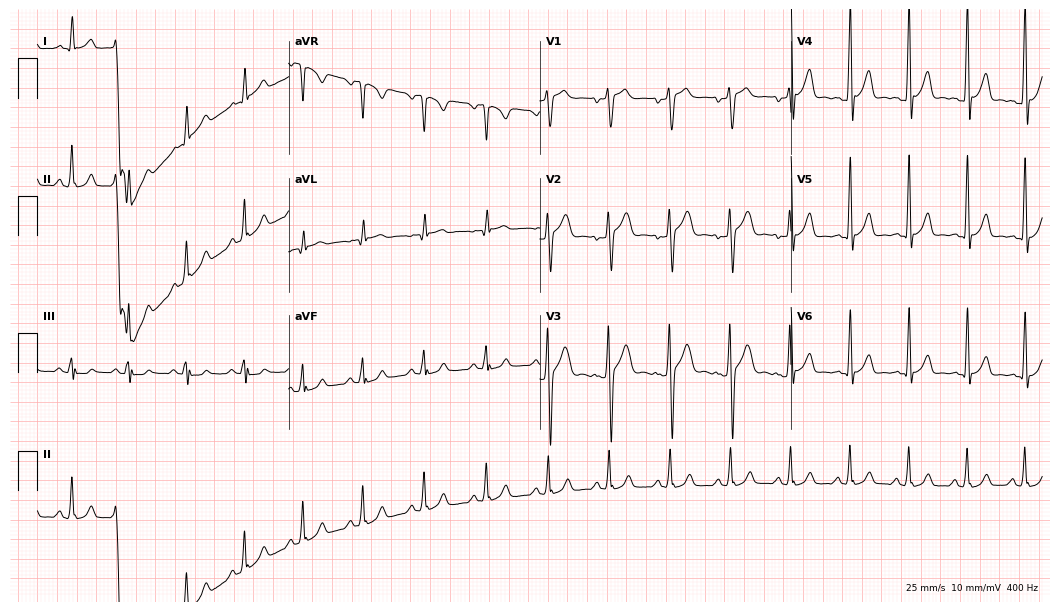
Standard 12-lead ECG recorded from a 19-year-old female patient. None of these six findings is recorded: first-degree AV block, right bundle branch block (RBBB), left bundle branch block (LBBB), sinus bradycardia, atrial fibrillation (AF), sinus tachycardia.